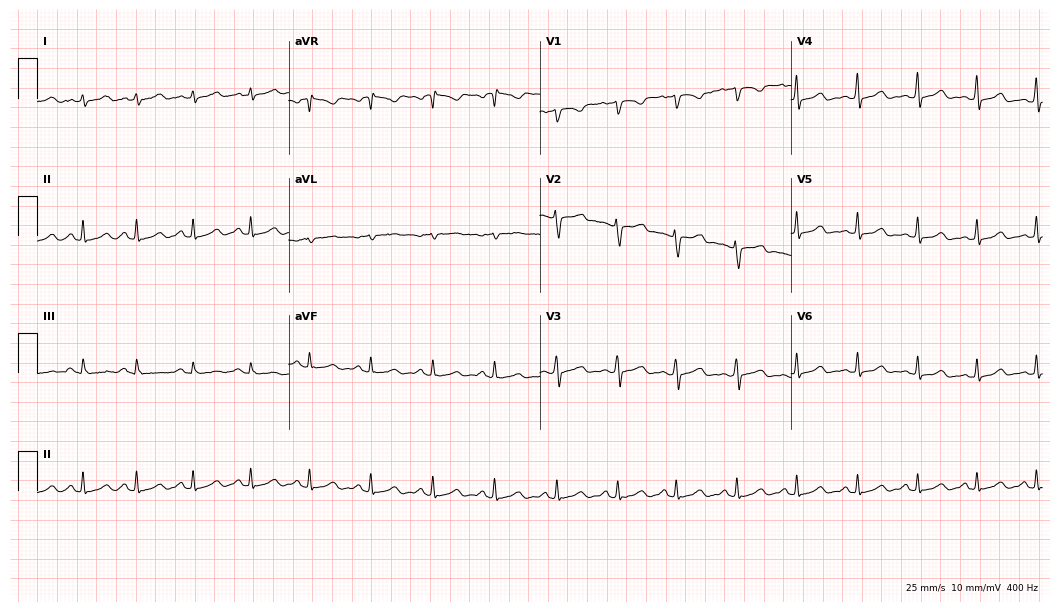
ECG — a 23-year-old woman. Labelled as a normal ECG.